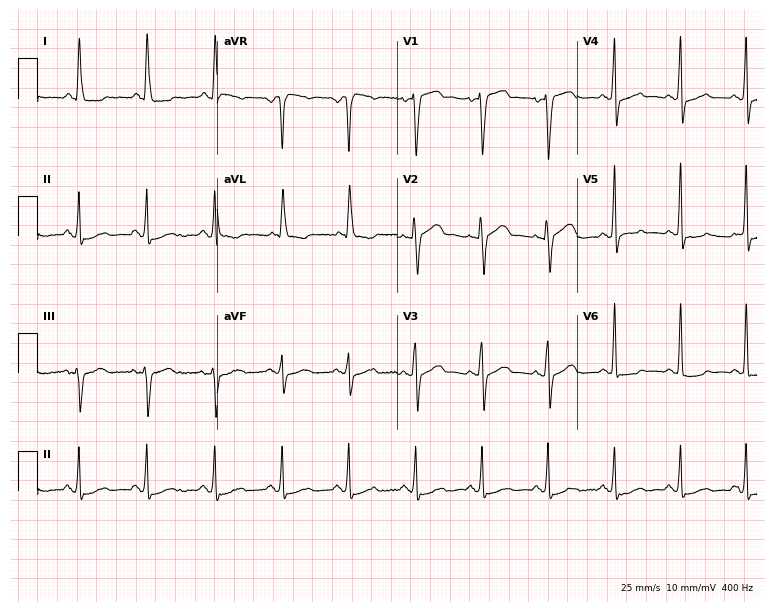
12-lead ECG from a 72-year-old female (7.3-second recording at 400 Hz). No first-degree AV block, right bundle branch block, left bundle branch block, sinus bradycardia, atrial fibrillation or sinus tachycardia recorded for this tracing.